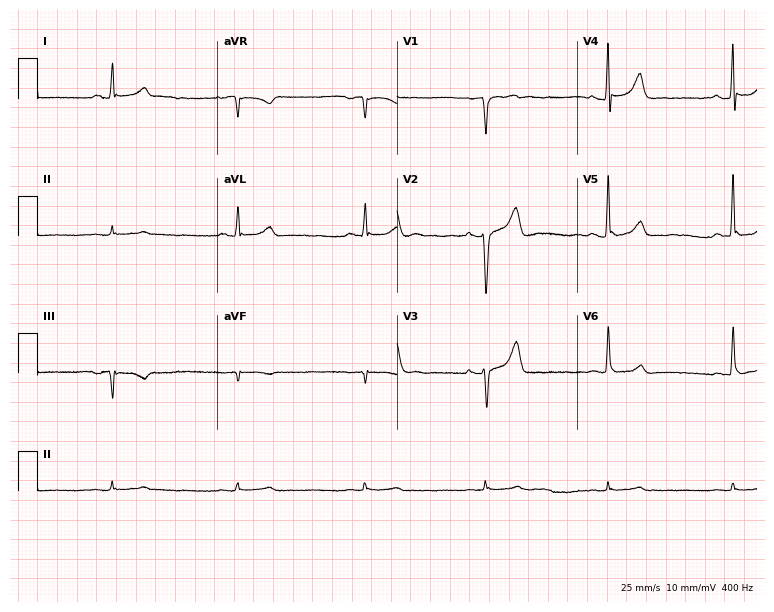
Electrocardiogram (7.3-second recording at 400 Hz), a 69-year-old male. Of the six screened findings (first-degree AV block, right bundle branch block (RBBB), left bundle branch block (LBBB), sinus bradycardia, atrial fibrillation (AF), sinus tachycardia), none is recorded. Other findings, if any, are not listed.